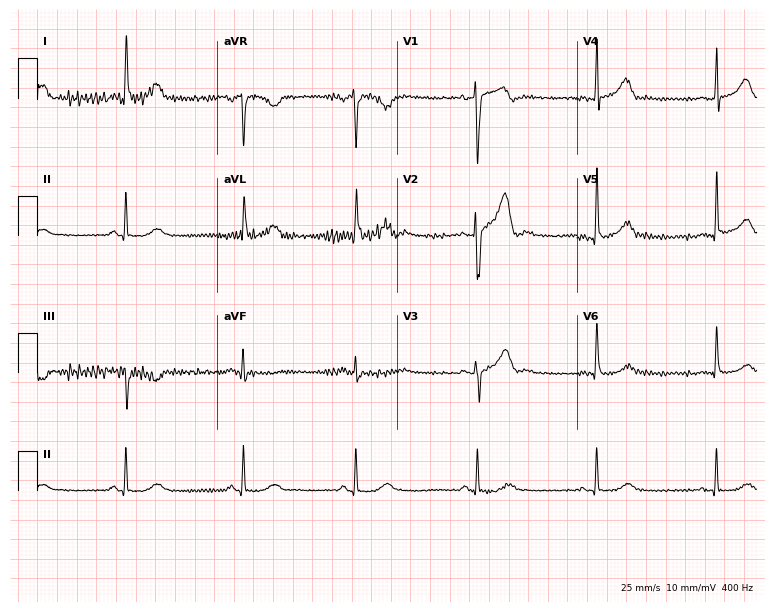
12-lead ECG from a 69-year-old male. Recorded interpretation: within normal limits.